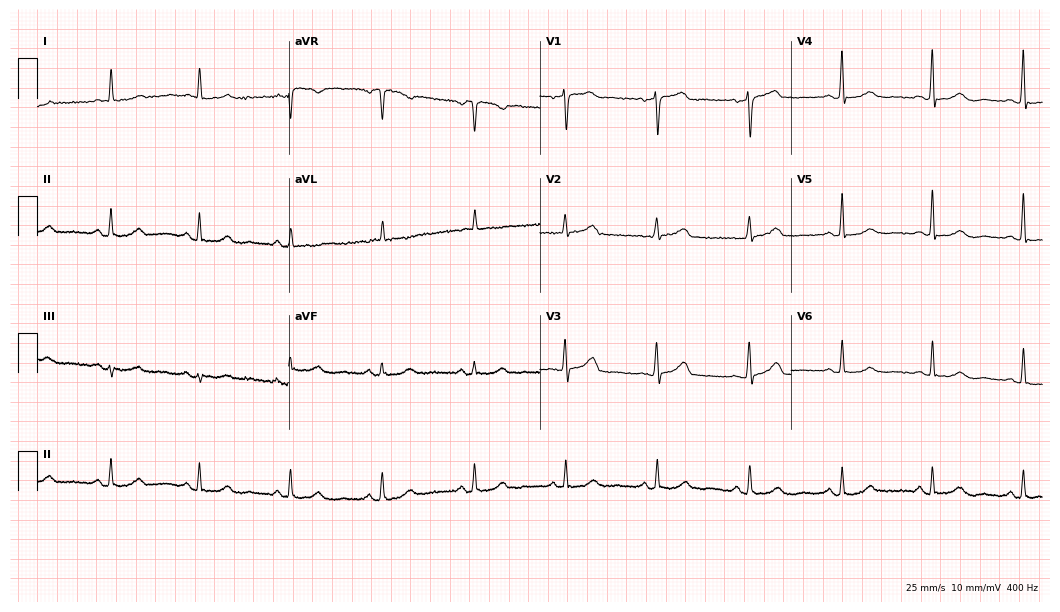
12-lead ECG from a female, 61 years old. Screened for six findings — first-degree AV block, right bundle branch block, left bundle branch block, sinus bradycardia, atrial fibrillation, sinus tachycardia — none is recorded.